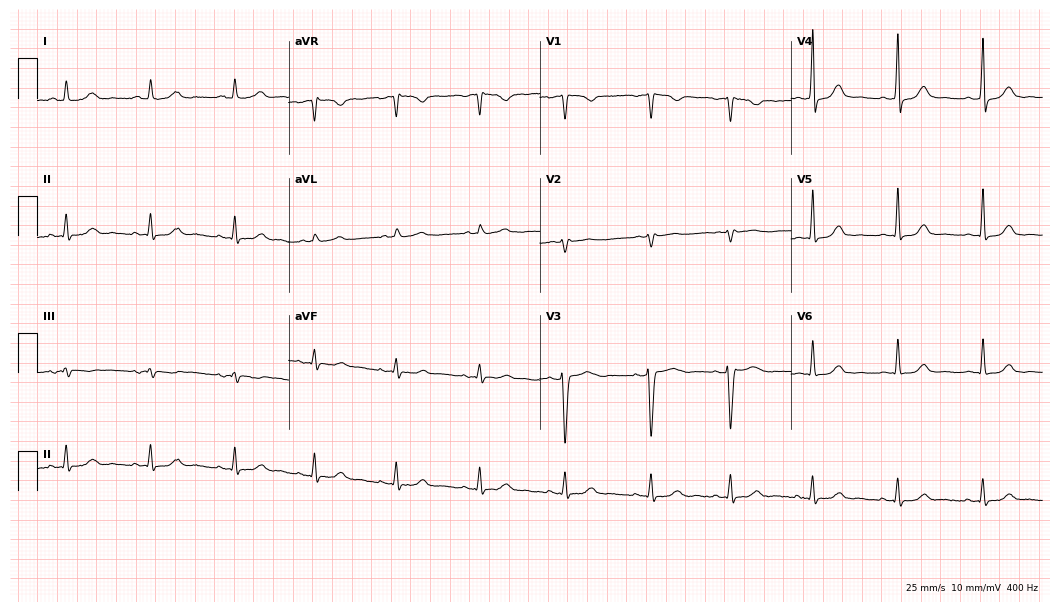
12-lead ECG from a female, 45 years old (10.2-second recording at 400 Hz). Recorded interpretation: within normal limits.